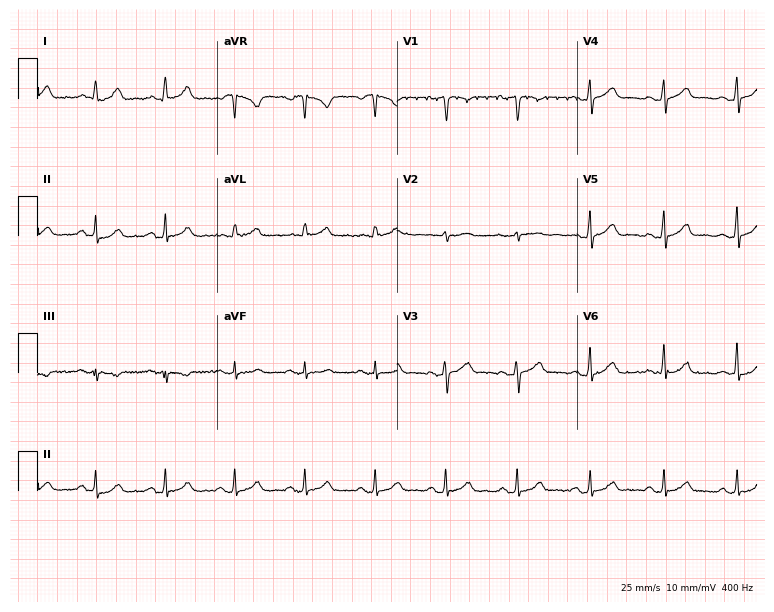
Standard 12-lead ECG recorded from a female patient, 43 years old (7.3-second recording at 400 Hz). None of these six findings is recorded: first-degree AV block, right bundle branch block (RBBB), left bundle branch block (LBBB), sinus bradycardia, atrial fibrillation (AF), sinus tachycardia.